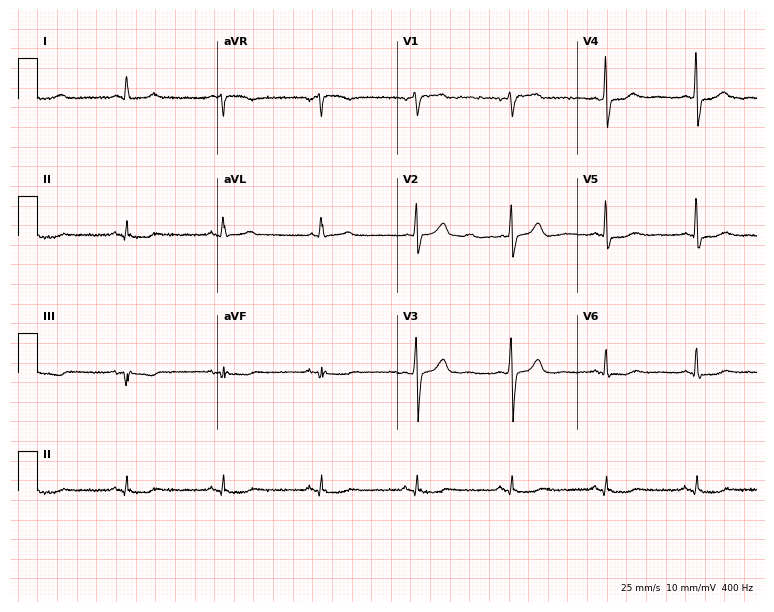
Resting 12-lead electrocardiogram. Patient: a male, 55 years old. None of these six findings is recorded: first-degree AV block, right bundle branch block, left bundle branch block, sinus bradycardia, atrial fibrillation, sinus tachycardia. Other findings, if any, are not listed.